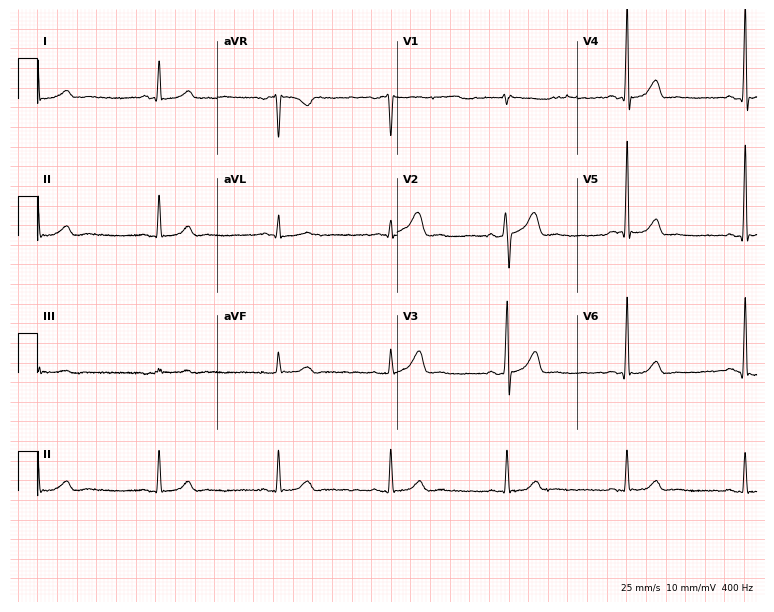
12-lead ECG from a 38-year-old male patient (7.3-second recording at 400 Hz). Recorded interpretation: within normal limits.